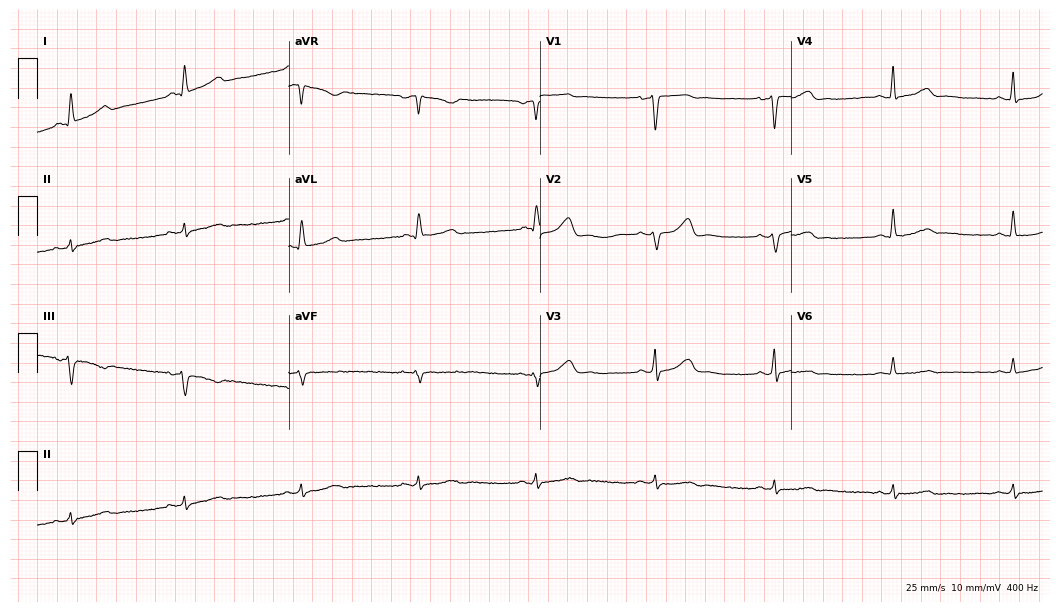
12-lead ECG from a 68-year-old male (10.2-second recording at 400 Hz). No first-degree AV block, right bundle branch block (RBBB), left bundle branch block (LBBB), sinus bradycardia, atrial fibrillation (AF) or sinus tachycardia recorded for this tracing.